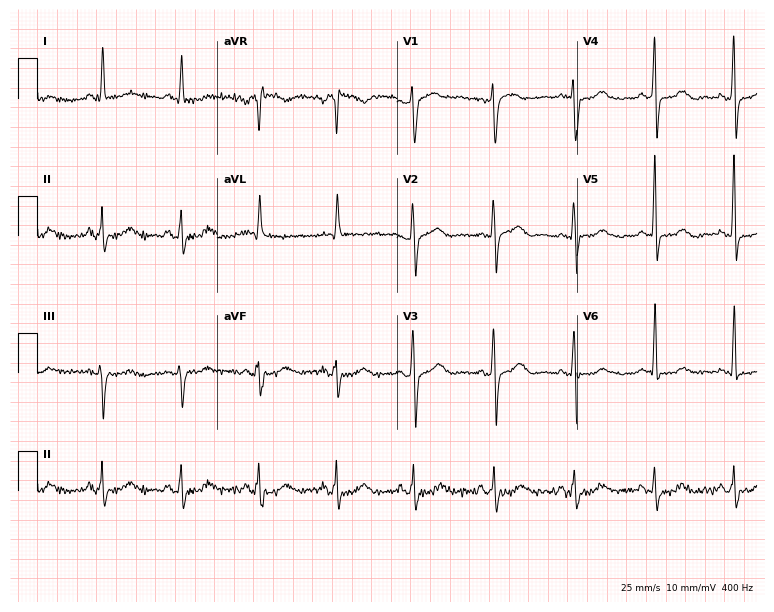
12-lead ECG (7.3-second recording at 400 Hz) from a female patient, 70 years old. Screened for six findings — first-degree AV block, right bundle branch block (RBBB), left bundle branch block (LBBB), sinus bradycardia, atrial fibrillation (AF), sinus tachycardia — none is recorded.